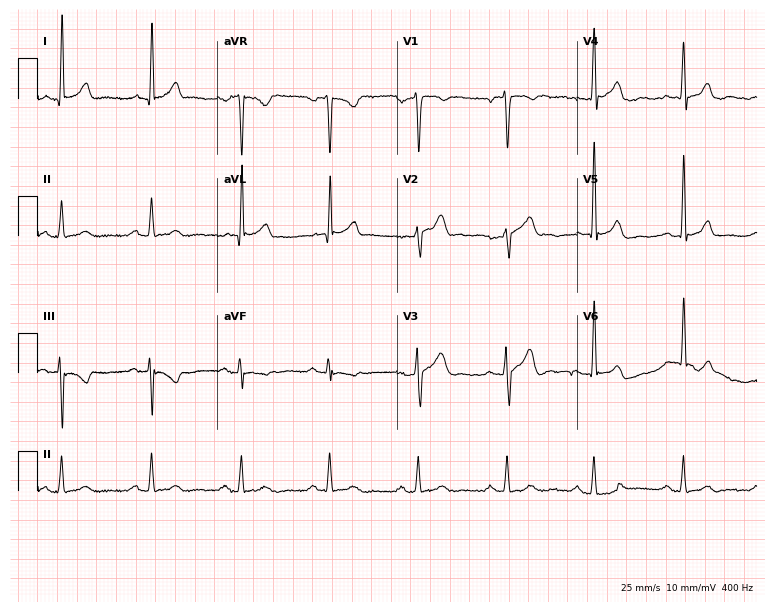
Resting 12-lead electrocardiogram (7.3-second recording at 400 Hz). Patient: a 60-year-old male. None of these six findings is recorded: first-degree AV block, right bundle branch block, left bundle branch block, sinus bradycardia, atrial fibrillation, sinus tachycardia.